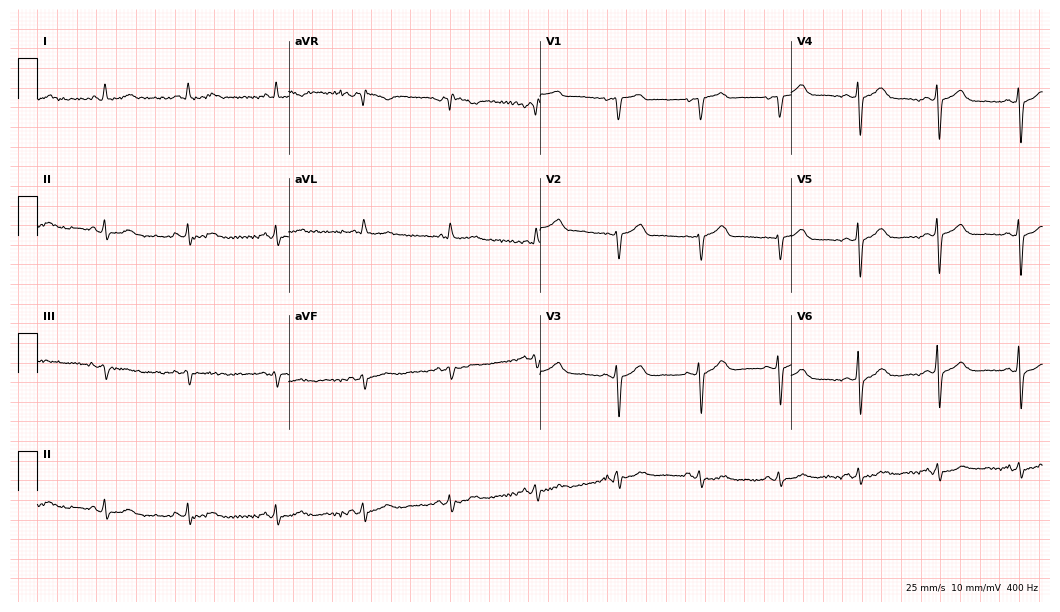
12-lead ECG from a female, 71 years old (10.2-second recording at 400 Hz). Recorded interpretation: within normal limits.